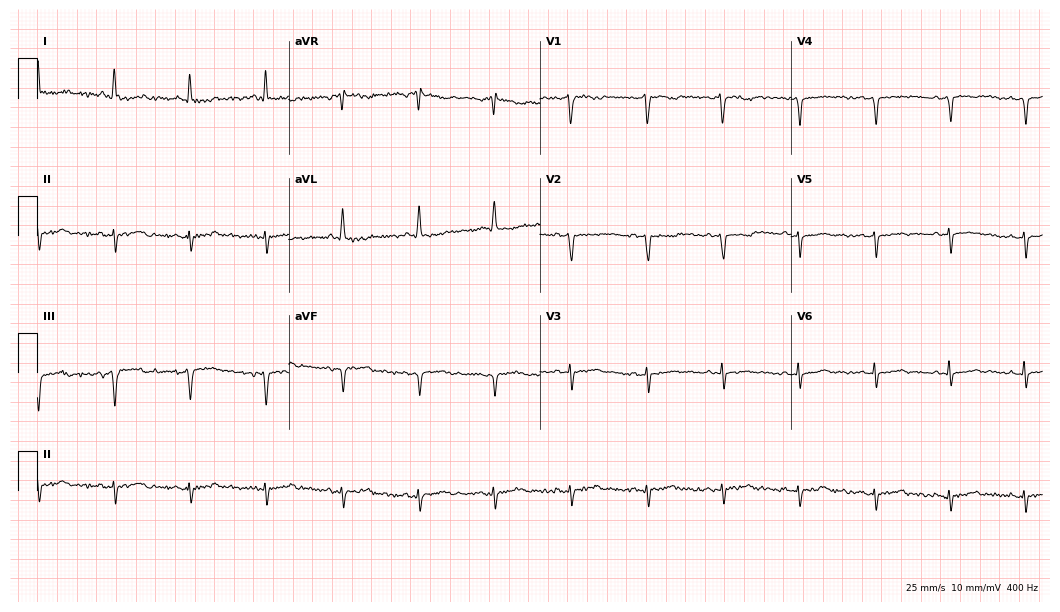
12-lead ECG from a 67-year-old female patient. Screened for six findings — first-degree AV block, right bundle branch block (RBBB), left bundle branch block (LBBB), sinus bradycardia, atrial fibrillation (AF), sinus tachycardia — none is recorded.